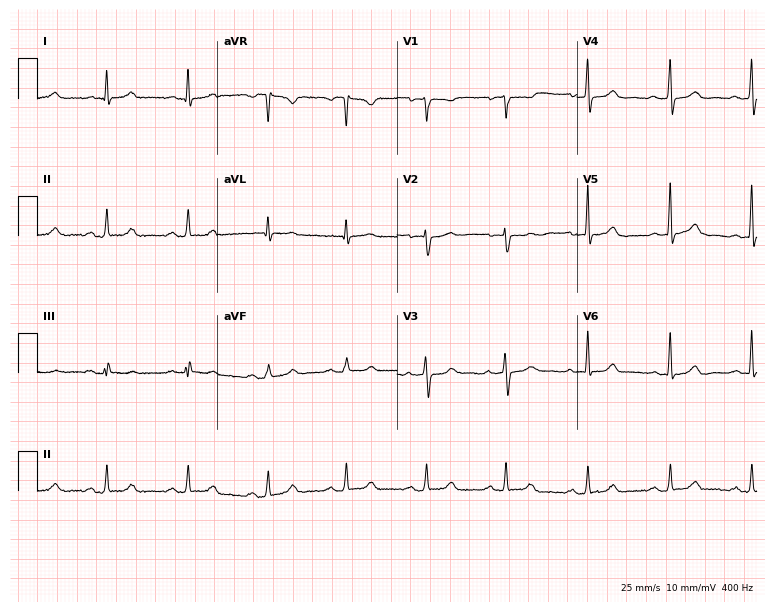
Resting 12-lead electrocardiogram. Patient: a female, 62 years old. Read as a normal ECG.